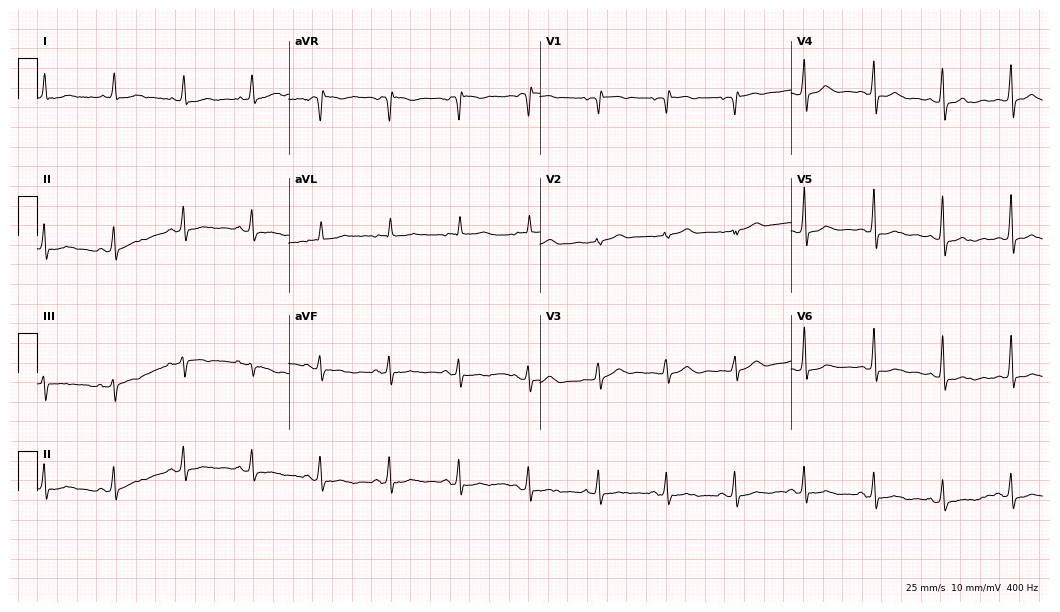
Electrocardiogram, a female, 71 years old. Overall reading on record: normal ECG.